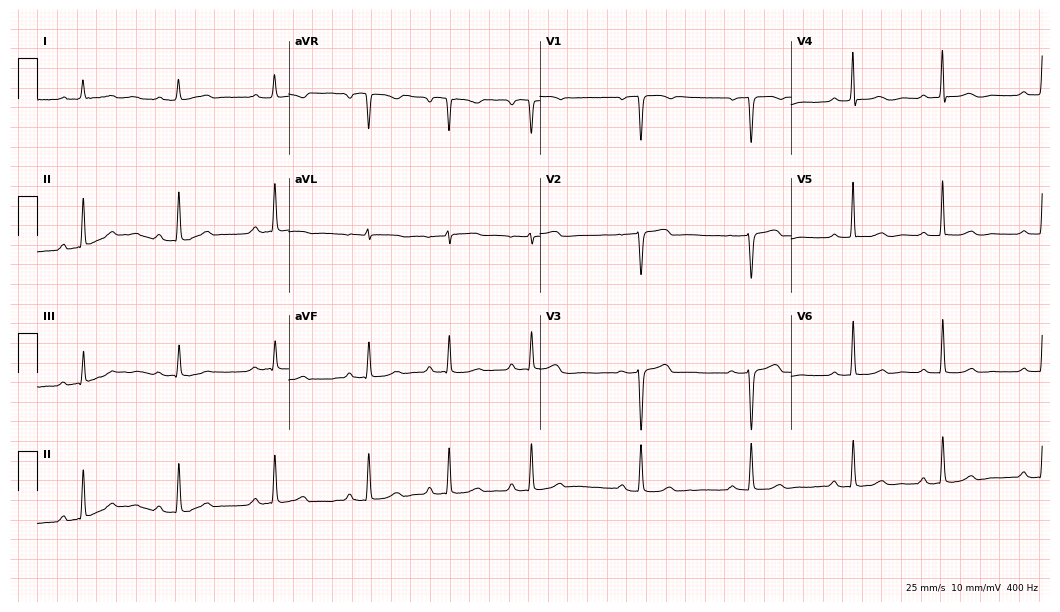
12-lead ECG from a 47-year-old female. Screened for six findings — first-degree AV block, right bundle branch block, left bundle branch block, sinus bradycardia, atrial fibrillation, sinus tachycardia — none is recorded. Other findings, if any, are not listed.